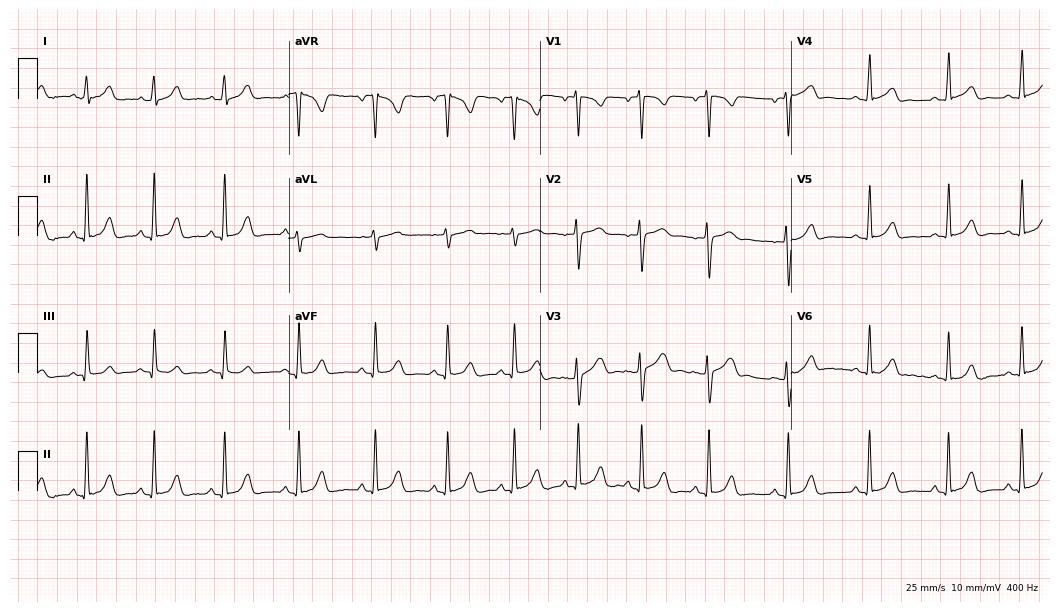
Resting 12-lead electrocardiogram (10.2-second recording at 400 Hz). Patient: a 17-year-old woman. Read as a normal ECG.